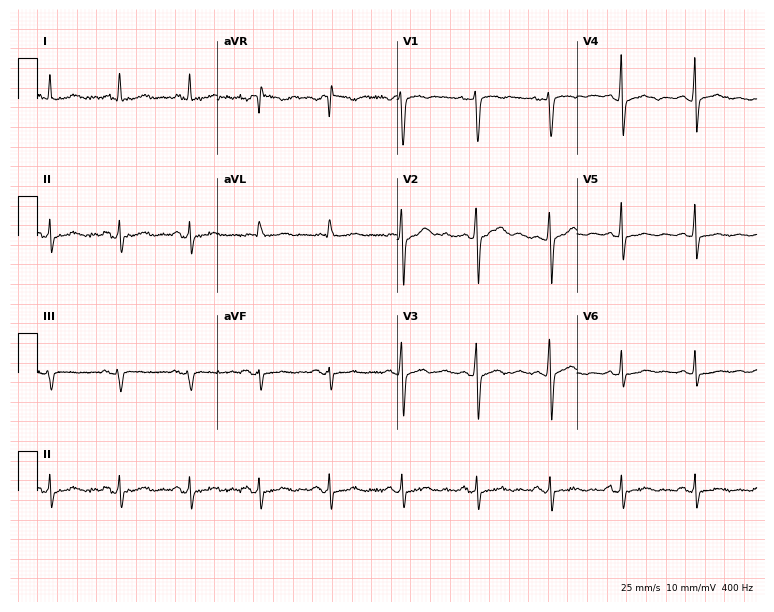
12-lead ECG from a female, 56 years old (7.3-second recording at 400 Hz). No first-degree AV block, right bundle branch block (RBBB), left bundle branch block (LBBB), sinus bradycardia, atrial fibrillation (AF) or sinus tachycardia recorded for this tracing. Only these six findings were labelled.